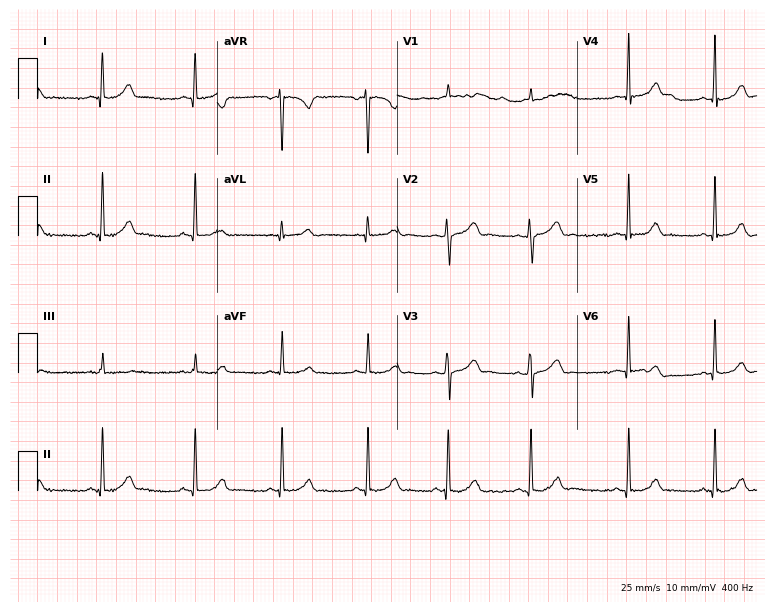
Resting 12-lead electrocardiogram. Patient: an 18-year-old female. Read as a normal ECG.